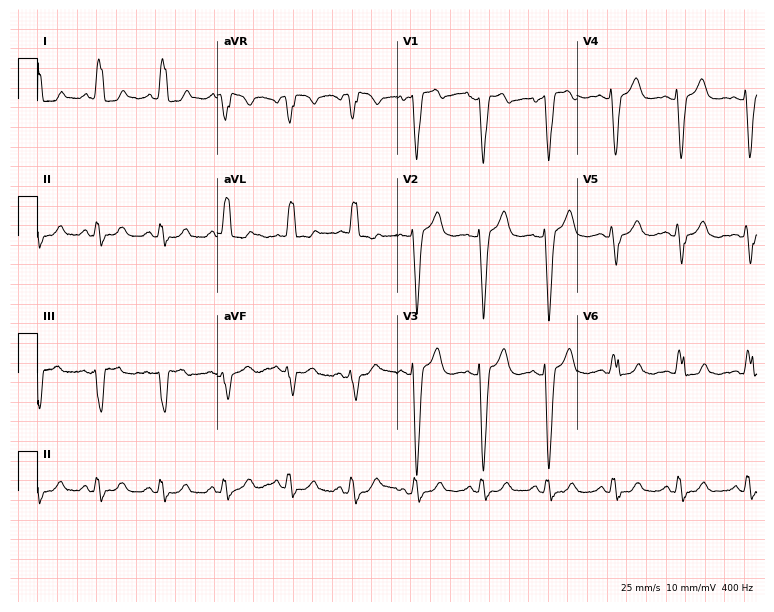
Electrocardiogram (7.3-second recording at 400 Hz), a female, 61 years old. Of the six screened findings (first-degree AV block, right bundle branch block, left bundle branch block, sinus bradycardia, atrial fibrillation, sinus tachycardia), none is recorded. Only these six findings were labelled.